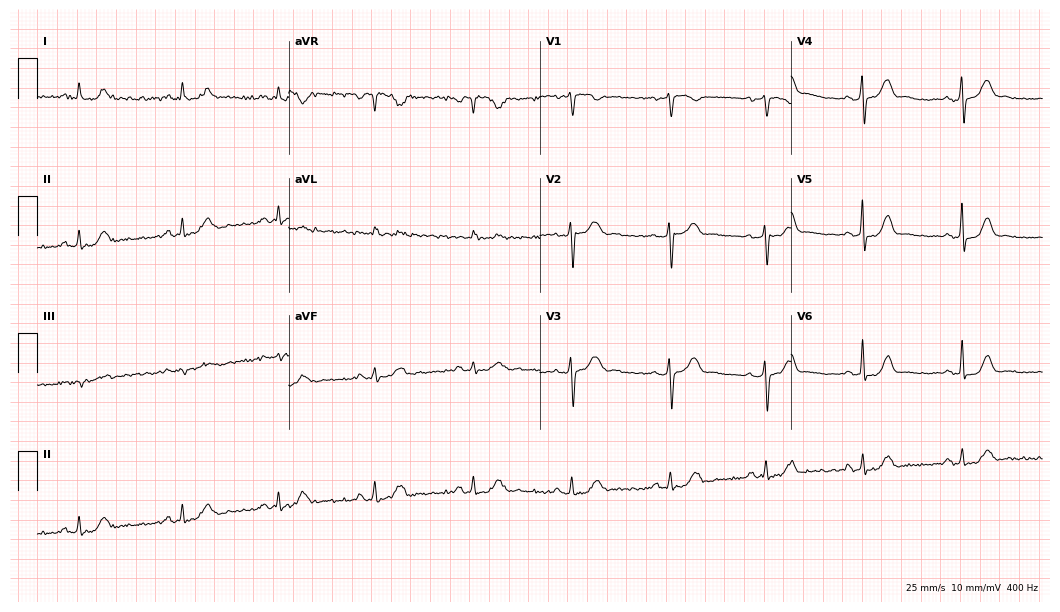
ECG (10.2-second recording at 400 Hz) — a female patient, 46 years old. Labelled as a normal ECG.